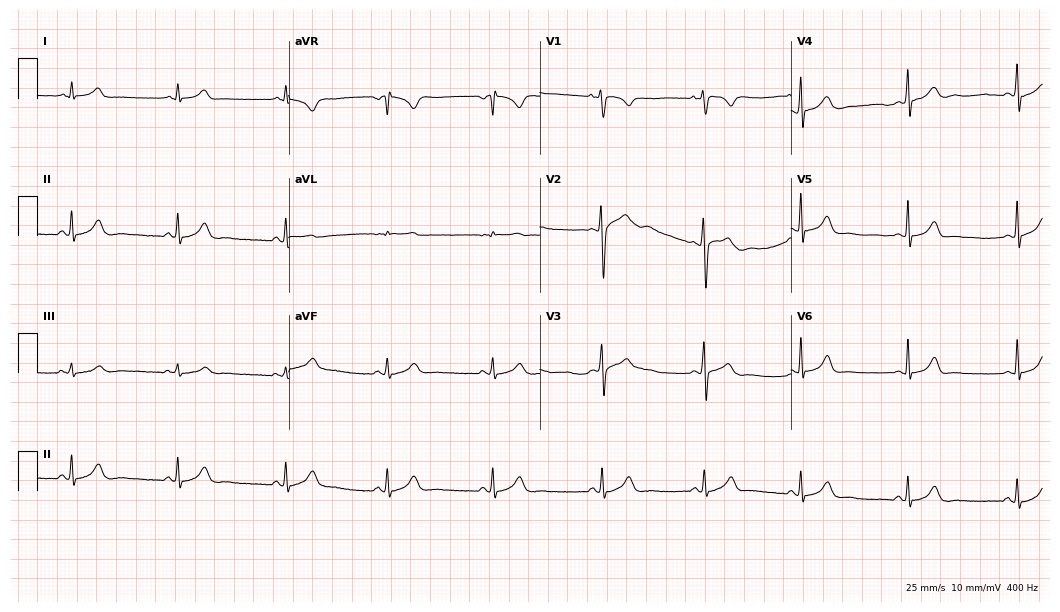
ECG — a 20-year-old woman. Labelled as a normal ECG.